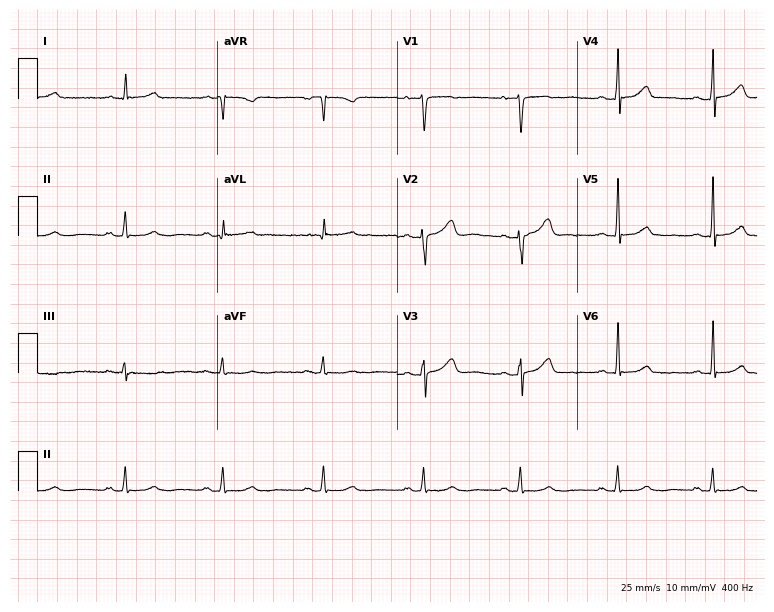
12-lead ECG from a female patient, 45 years old. Recorded interpretation: within normal limits.